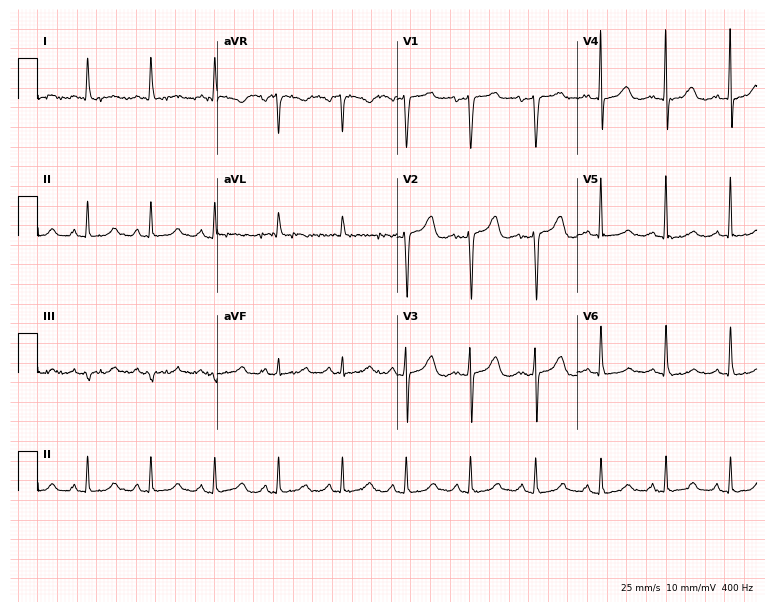
Standard 12-lead ECG recorded from an 80-year-old female (7.3-second recording at 400 Hz). Read as a normal ECG.